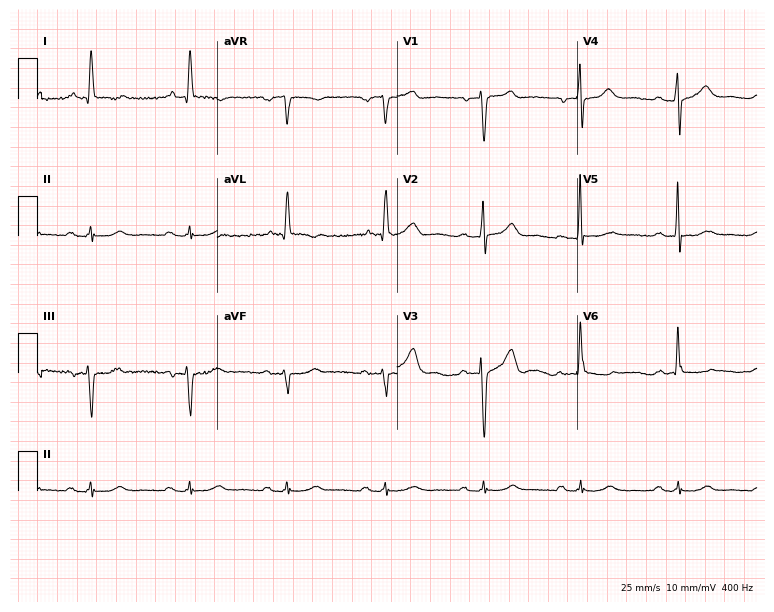
12-lead ECG from a 69-year-old male. Screened for six findings — first-degree AV block, right bundle branch block, left bundle branch block, sinus bradycardia, atrial fibrillation, sinus tachycardia — none is recorded.